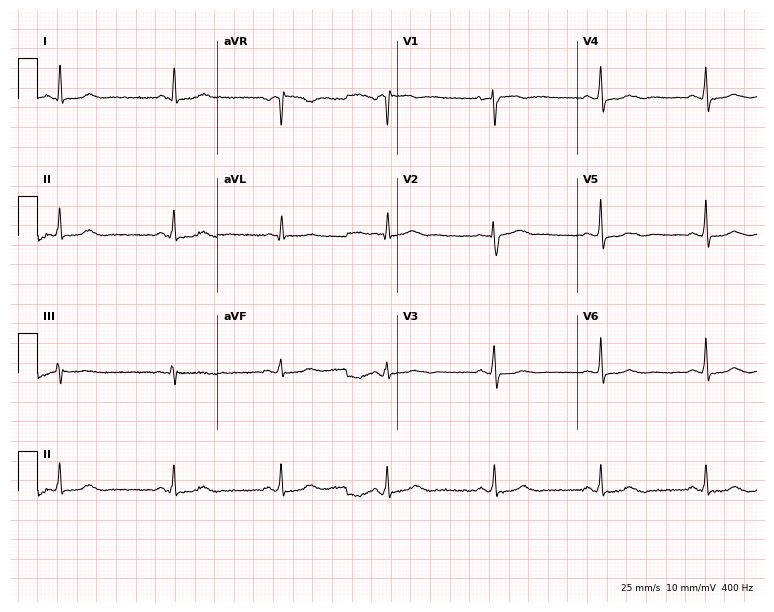
Standard 12-lead ECG recorded from a female, 59 years old (7.3-second recording at 400 Hz). None of these six findings is recorded: first-degree AV block, right bundle branch block (RBBB), left bundle branch block (LBBB), sinus bradycardia, atrial fibrillation (AF), sinus tachycardia. Other findings, if any, are not listed.